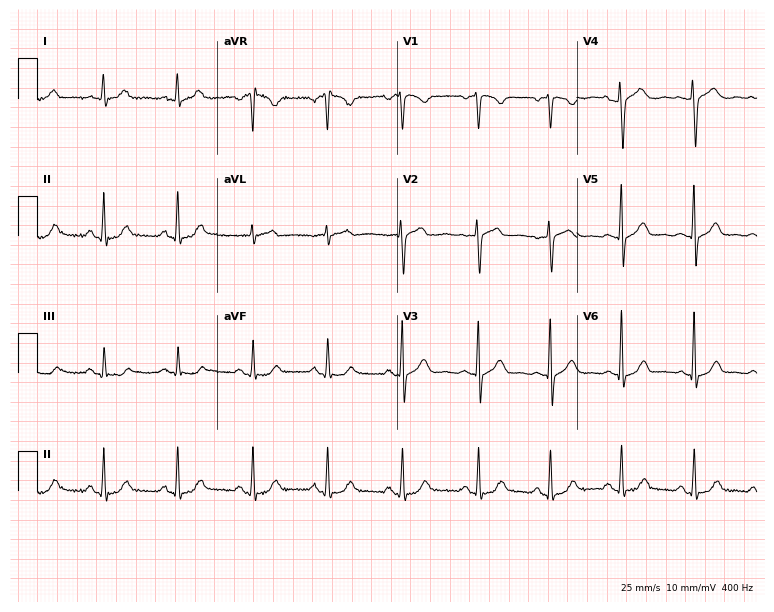
Resting 12-lead electrocardiogram (7.3-second recording at 400 Hz). Patient: a female, 47 years old. None of these six findings is recorded: first-degree AV block, right bundle branch block, left bundle branch block, sinus bradycardia, atrial fibrillation, sinus tachycardia.